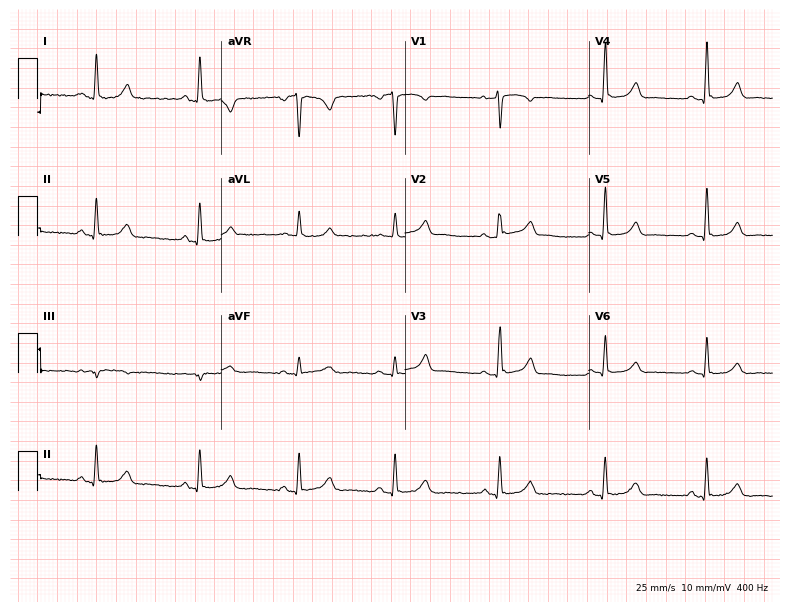
Standard 12-lead ECG recorded from a female patient, 50 years old (7.5-second recording at 400 Hz). None of these six findings is recorded: first-degree AV block, right bundle branch block, left bundle branch block, sinus bradycardia, atrial fibrillation, sinus tachycardia. Only these six findings were labelled.